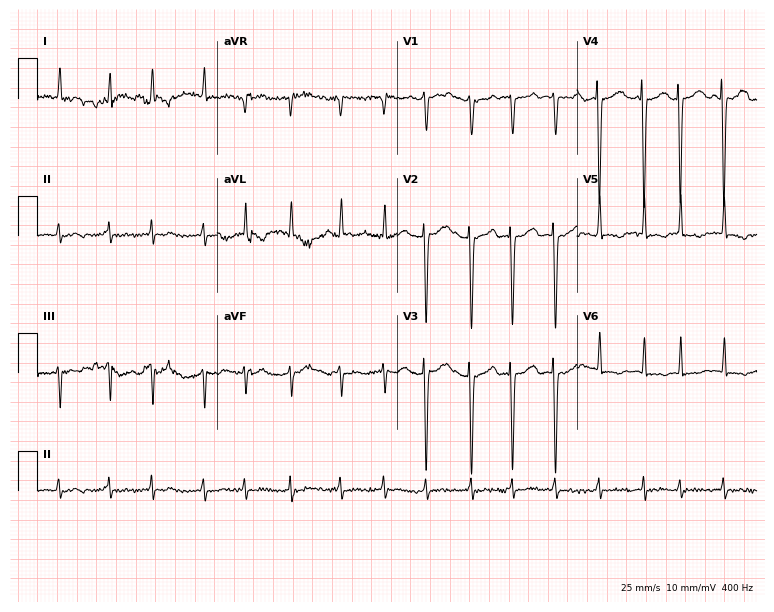
ECG (7.3-second recording at 400 Hz) — a 61-year-old female patient. Findings include atrial fibrillation.